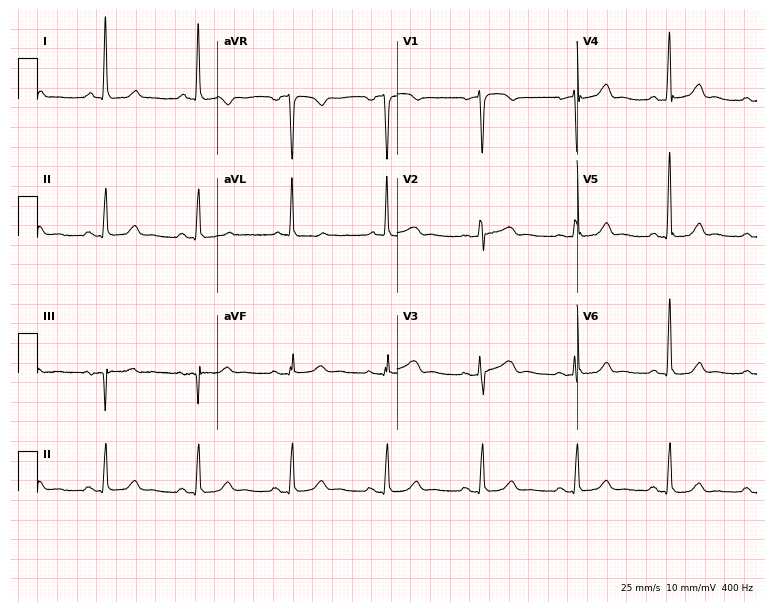
12-lead ECG from a female patient, 62 years old (7.3-second recording at 400 Hz). Recorded interpretation: within normal limits.